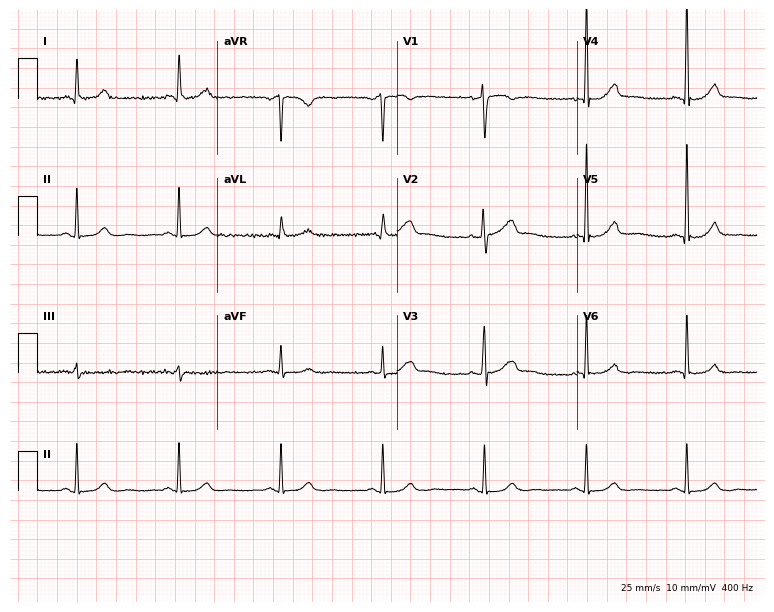
12-lead ECG from a 24-year-old woman. Screened for six findings — first-degree AV block, right bundle branch block, left bundle branch block, sinus bradycardia, atrial fibrillation, sinus tachycardia — none is recorded.